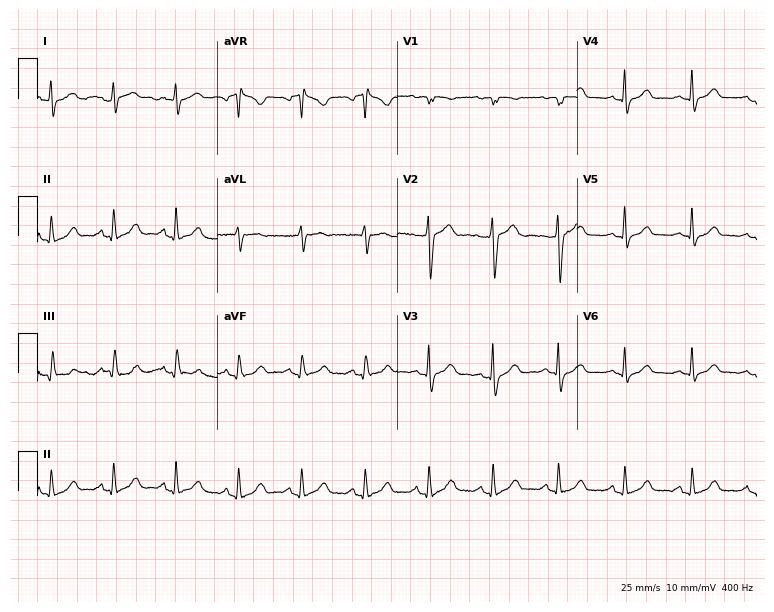
Standard 12-lead ECG recorded from a female patient, 65 years old. Read as a normal ECG.